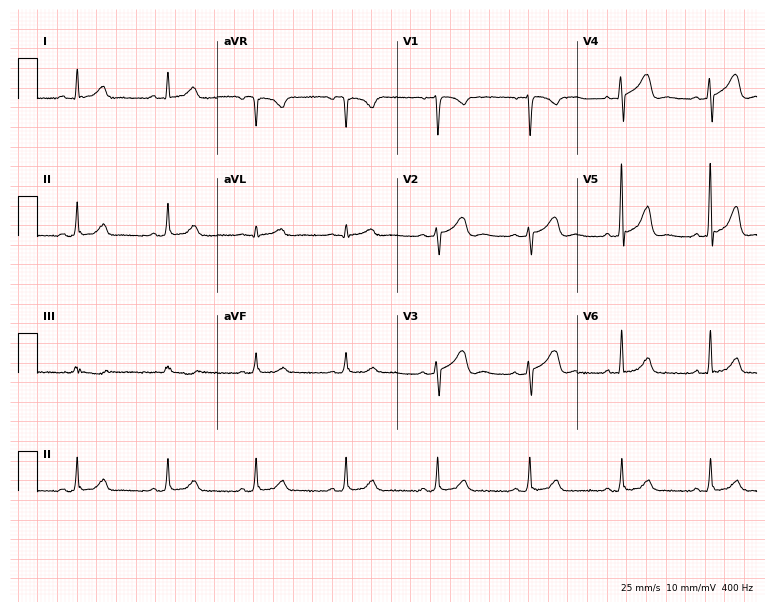
Standard 12-lead ECG recorded from a female, 41 years old (7.3-second recording at 400 Hz). Read as a normal ECG.